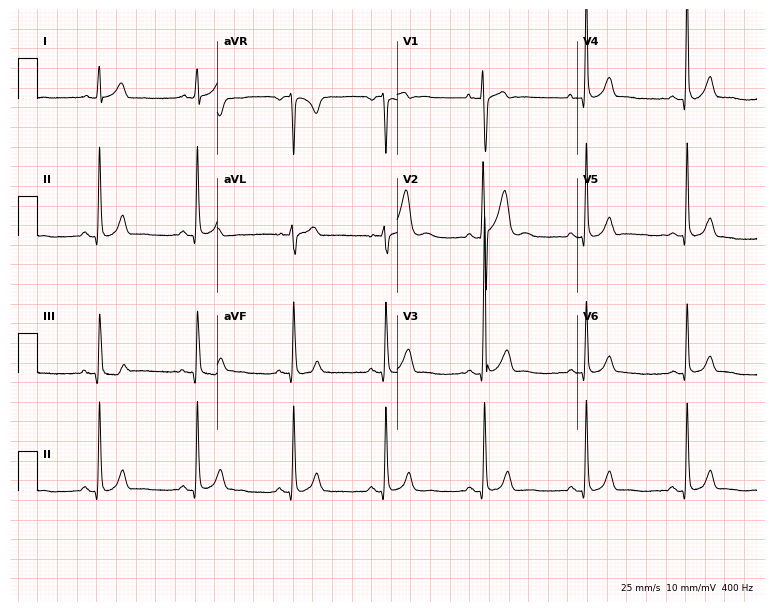
12-lead ECG from a man, 18 years old (7.3-second recording at 400 Hz). Recorded interpretation: within normal limits.